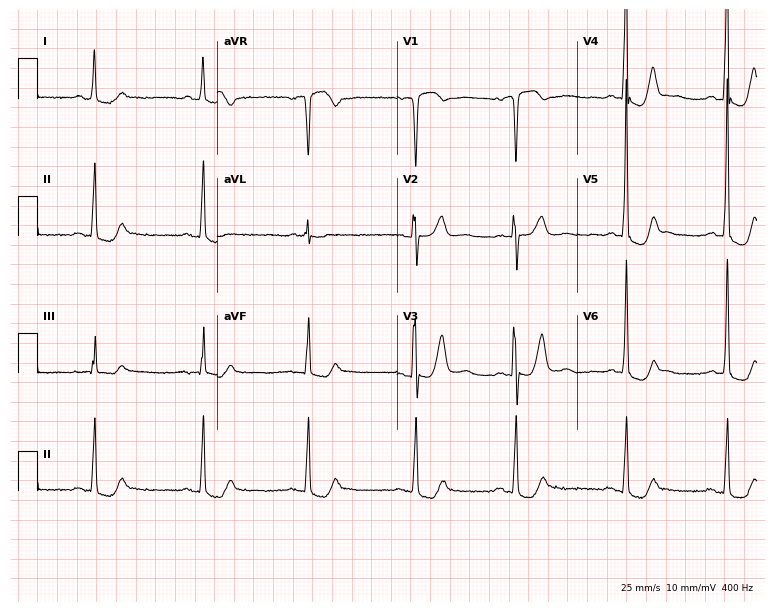
Standard 12-lead ECG recorded from a 78-year-old female. None of these six findings is recorded: first-degree AV block, right bundle branch block (RBBB), left bundle branch block (LBBB), sinus bradycardia, atrial fibrillation (AF), sinus tachycardia.